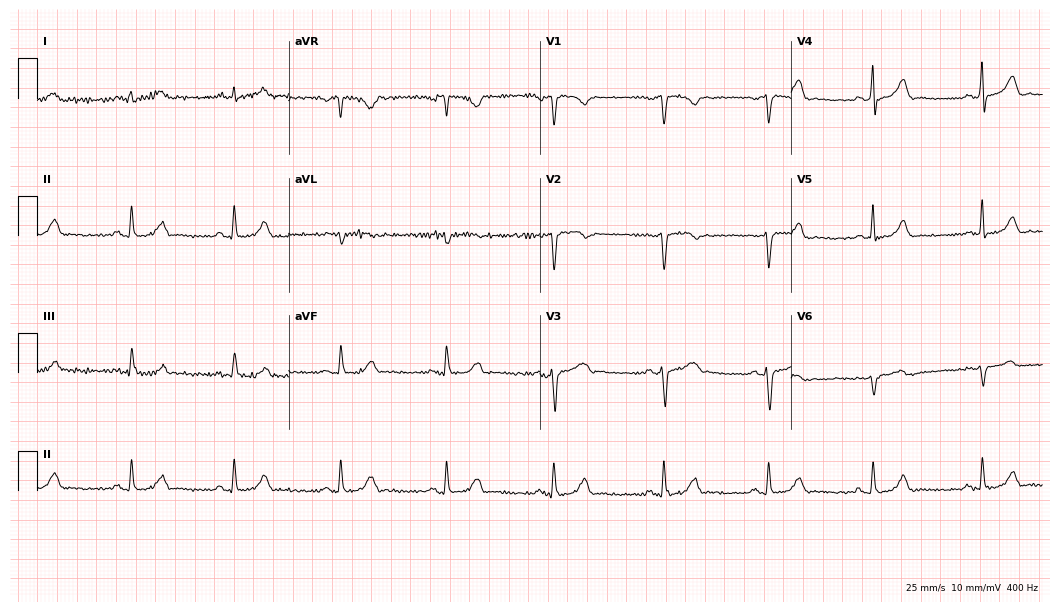
12-lead ECG from a male patient, 49 years old. Labelled as a normal ECG.